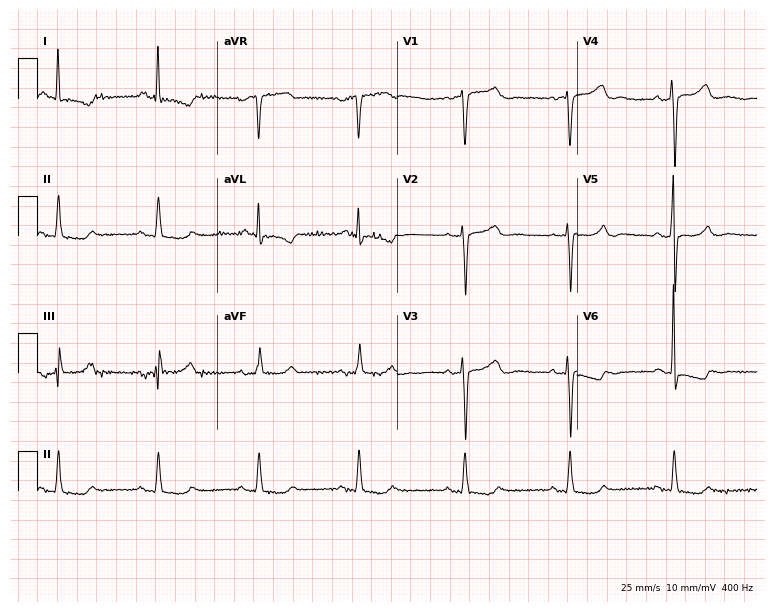
ECG (7.3-second recording at 400 Hz) — a 68-year-old woman. Screened for six findings — first-degree AV block, right bundle branch block (RBBB), left bundle branch block (LBBB), sinus bradycardia, atrial fibrillation (AF), sinus tachycardia — none is recorded. Findings outside these six are not listed.